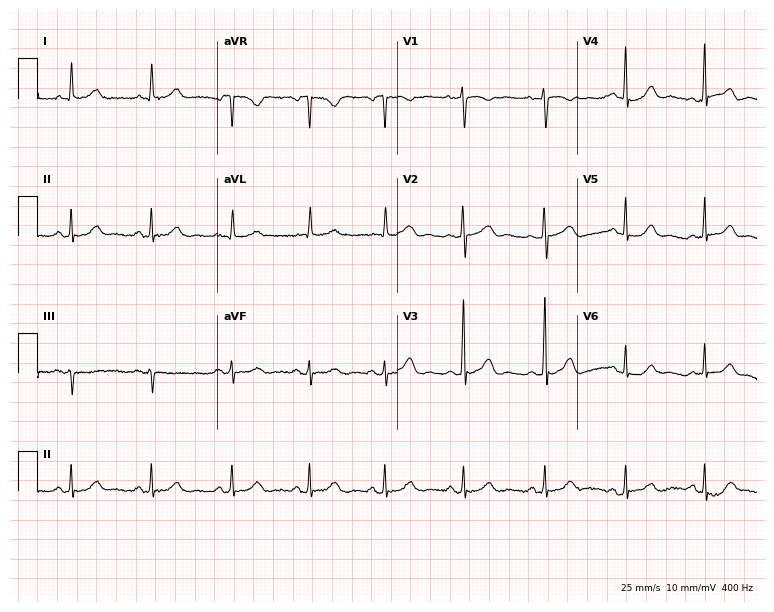
12-lead ECG from a 68-year-old female (7.3-second recording at 400 Hz). Recorded interpretation: within normal limits.